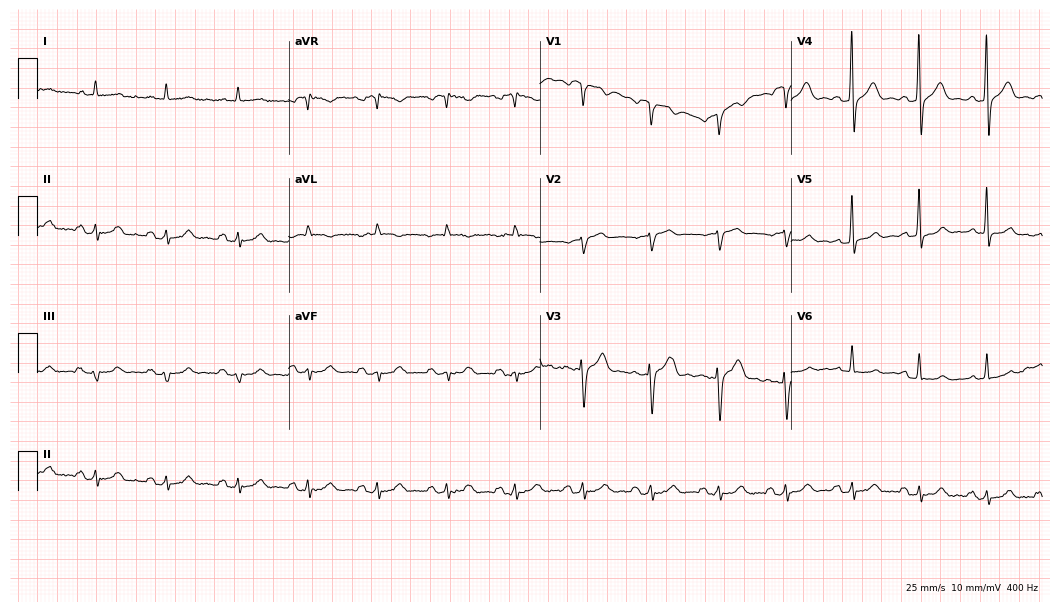
ECG (10.2-second recording at 400 Hz) — a male, 72 years old. Screened for six findings — first-degree AV block, right bundle branch block, left bundle branch block, sinus bradycardia, atrial fibrillation, sinus tachycardia — none is recorded.